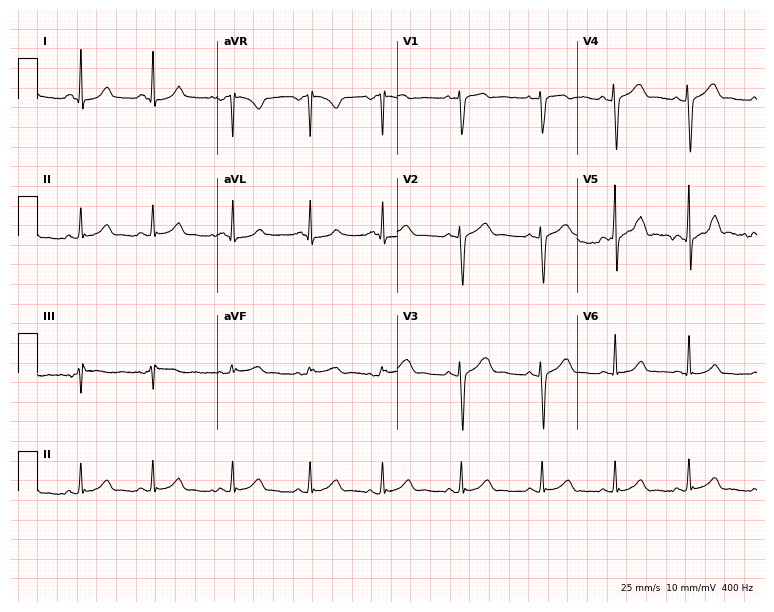
Electrocardiogram (7.3-second recording at 400 Hz), a female, 20 years old. Overall reading on record: normal ECG.